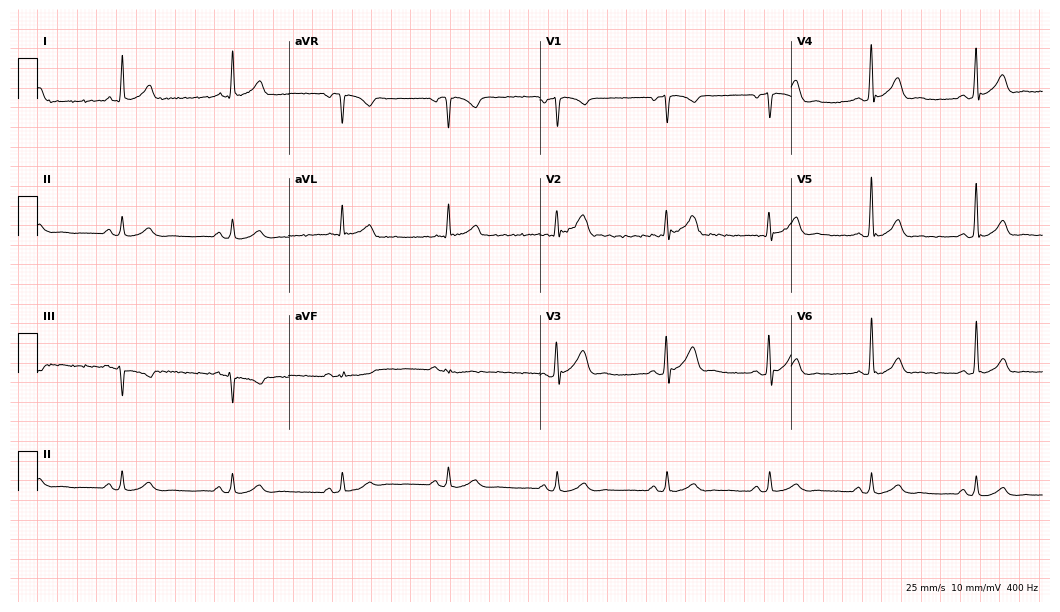
12-lead ECG from a 47-year-old male patient (10.2-second recording at 400 Hz). Recorded interpretation: within normal limits.